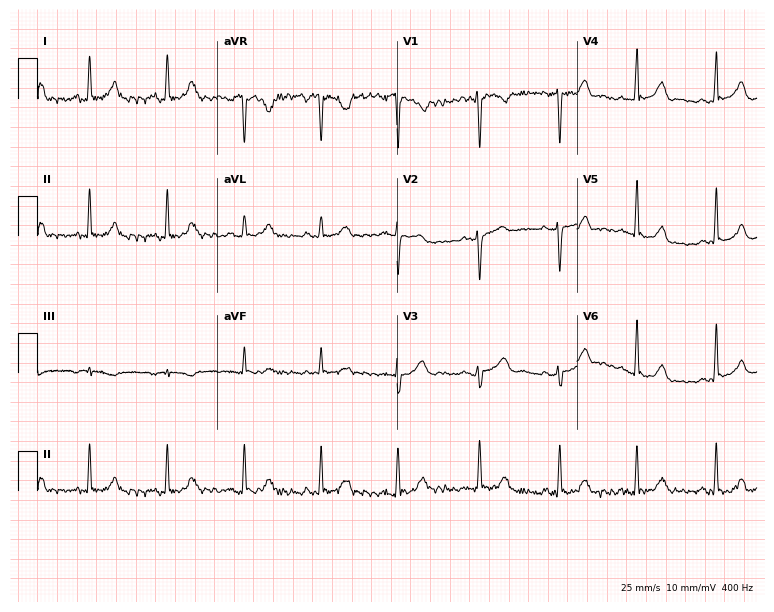
12-lead ECG from a female, 26 years old. Labelled as a normal ECG.